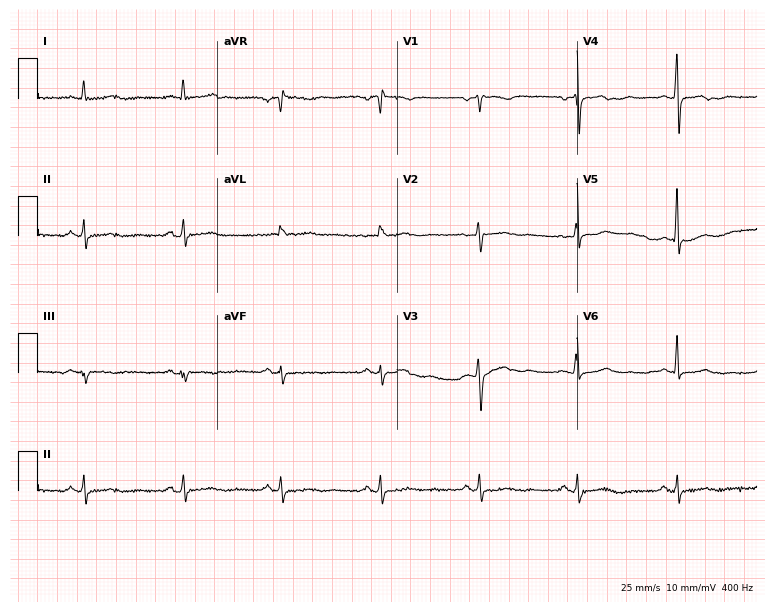
Resting 12-lead electrocardiogram. Patient: a woman, 51 years old. None of these six findings is recorded: first-degree AV block, right bundle branch block, left bundle branch block, sinus bradycardia, atrial fibrillation, sinus tachycardia.